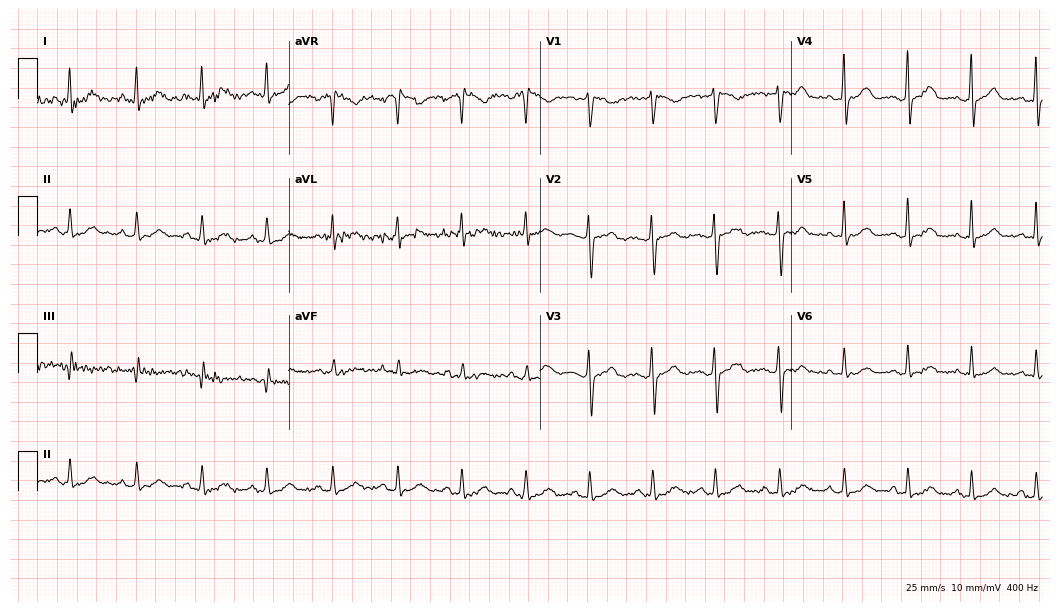
ECG (10.2-second recording at 400 Hz) — a 32-year-old female. Labelled as a normal ECG.